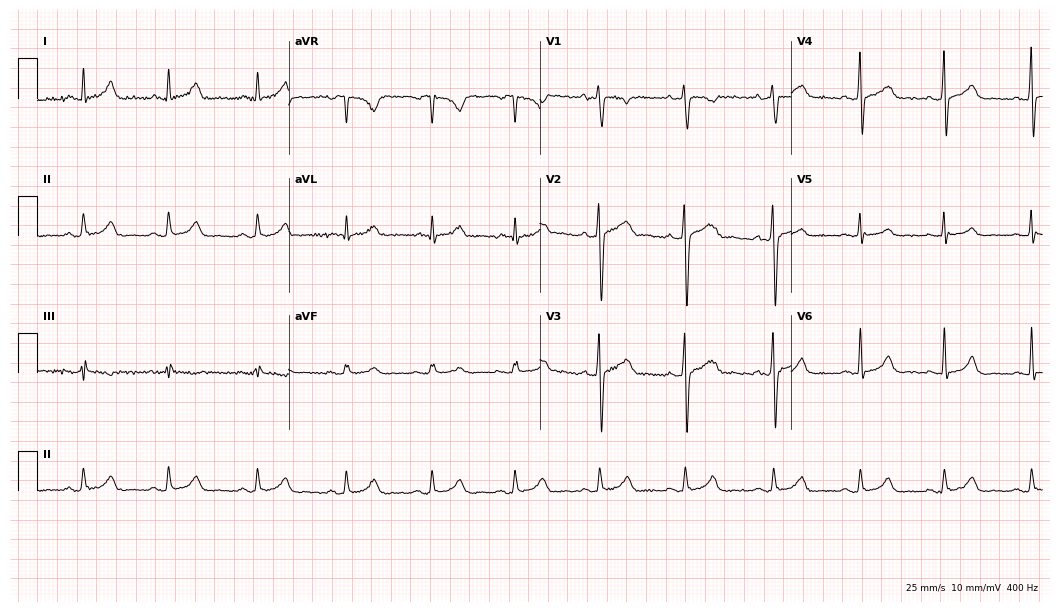
Resting 12-lead electrocardiogram. Patient: a 26-year-old man. Read as a normal ECG.